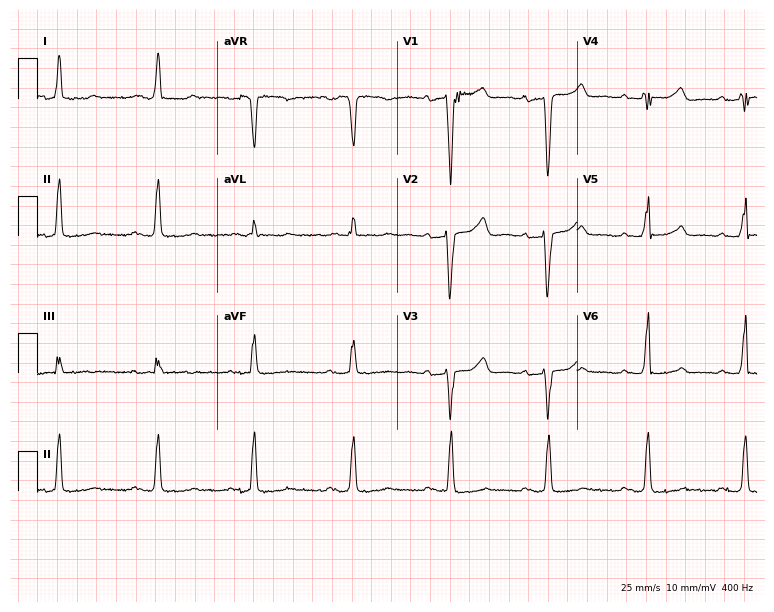
12-lead ECG (7.3-second recording at 400 Hz) from a woman, 68 years old. Findings include first-degree AV block, left bundle branch block.